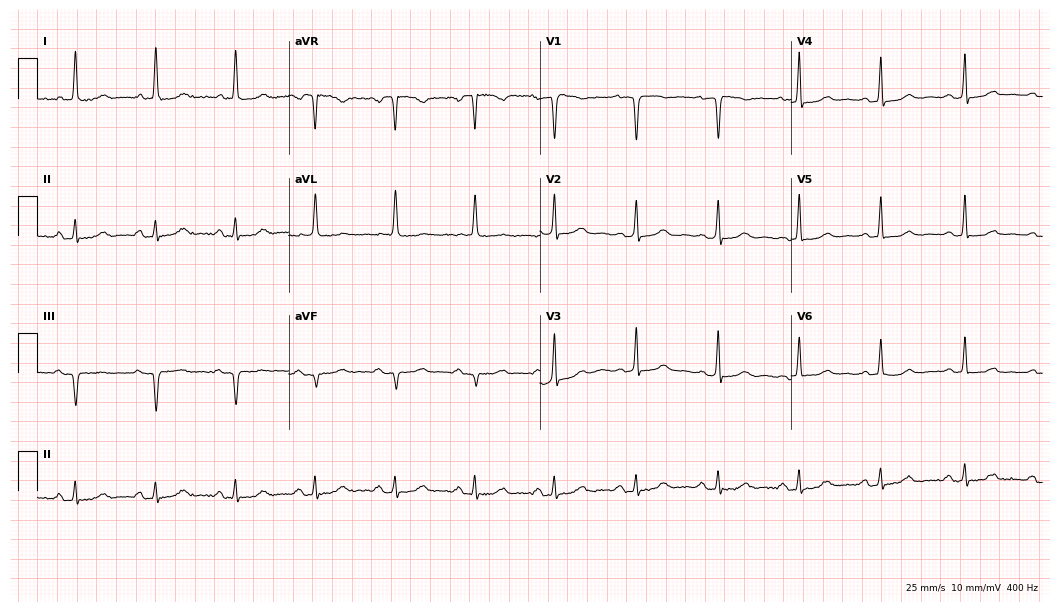
12-lead ECG (10.2-second recording at 400 Hz) from a 70-year-old female. Screened for six findings — first-degree AV block, right bundle branch block, left bundle branch block, sinus bradycardia, atrial fibrillation, sinus tachycardia — none is recorded.